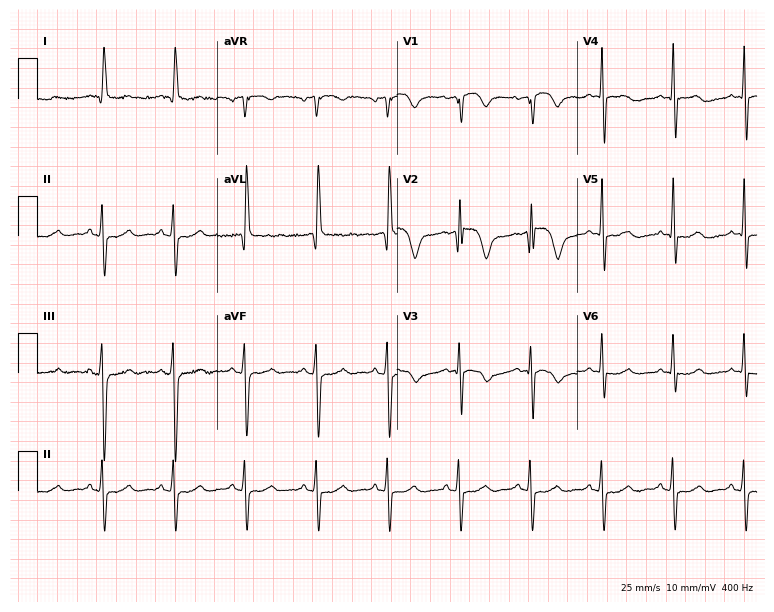
12-lead ECG from a 67-year-old female patient. No first-degree AV block, right bundle branch block, left bundle branch block, sinus bradycardia, atrial fibrillation or sinus tachycardia recorded for this tracing.